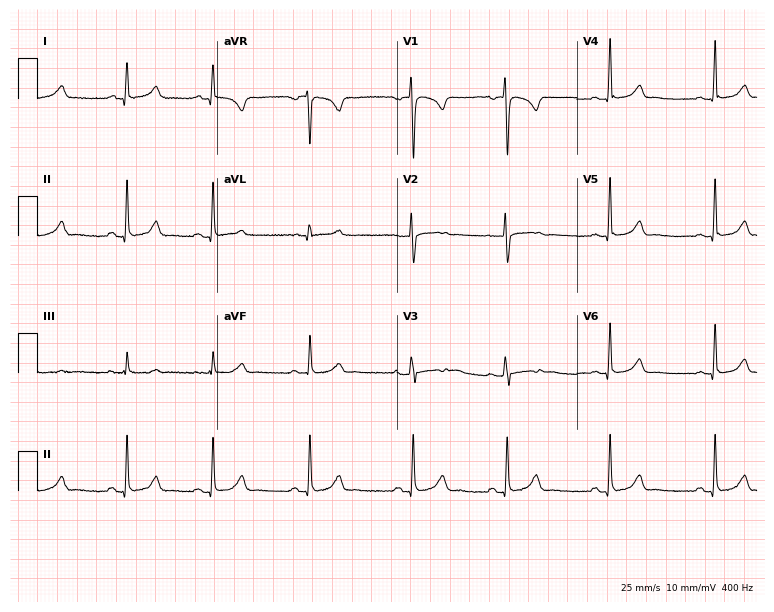
ECG — a female patient, 31 years old. Labelled as a normal ECG.